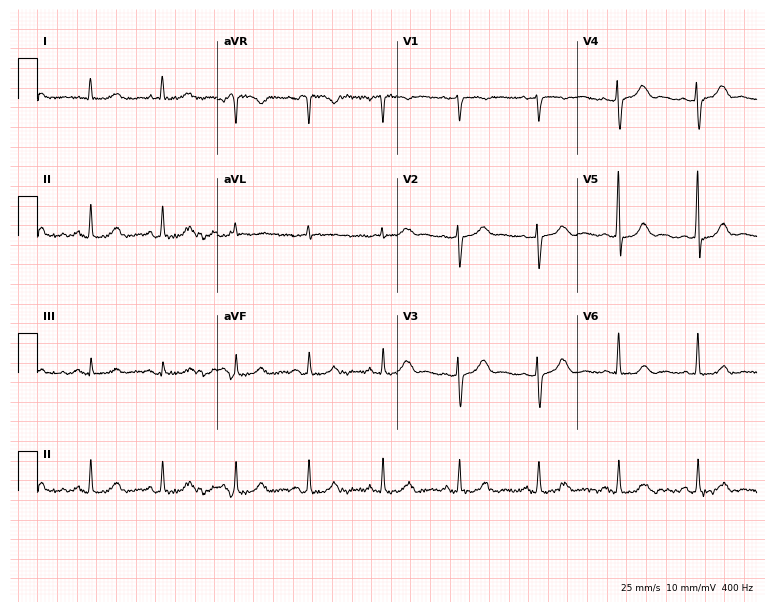
Resting 12-lead electrocardiogram. Patient: a woman, 47 years old. None of these six findings is recorded: first-degree AV block, right bundle branch block, left bundle branch block, sinus bradycardia, atrial fibrillation, sinus tachycardia.